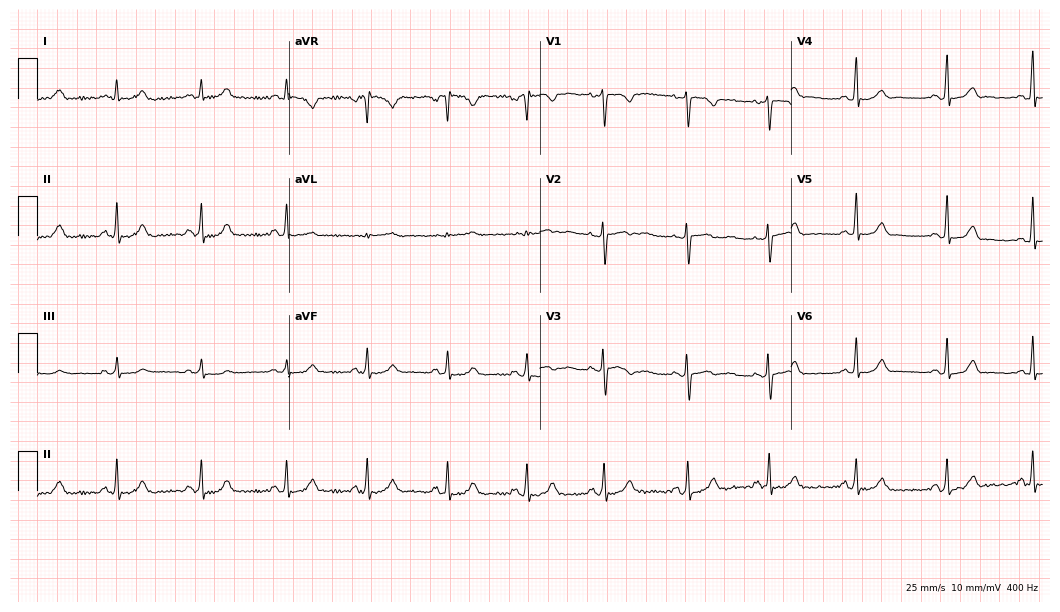
Standard 12-lead ECG recorded from a 45-year-old female patient (10.2-second recording at 400 Hz). Read as a normal ECG.